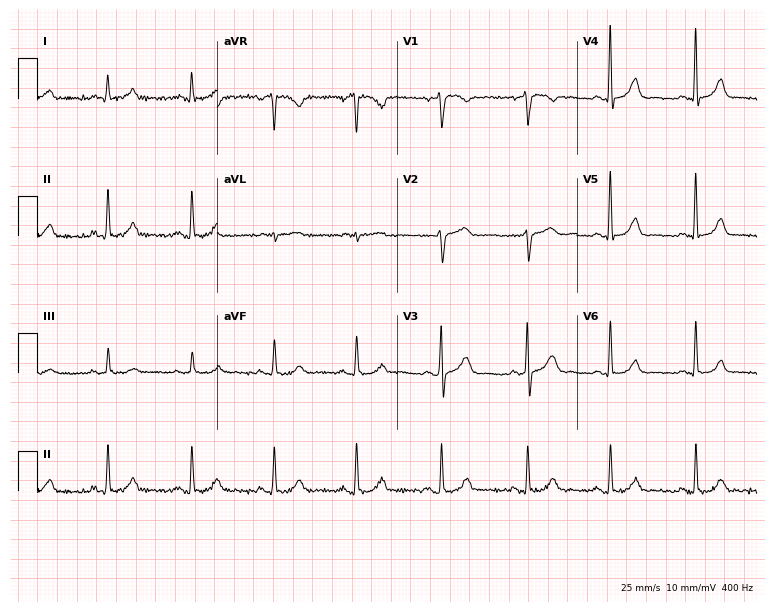
Resting 12-lead electrocardiogram. Patient: a woman, 55 years old. Read as a normal ECG.